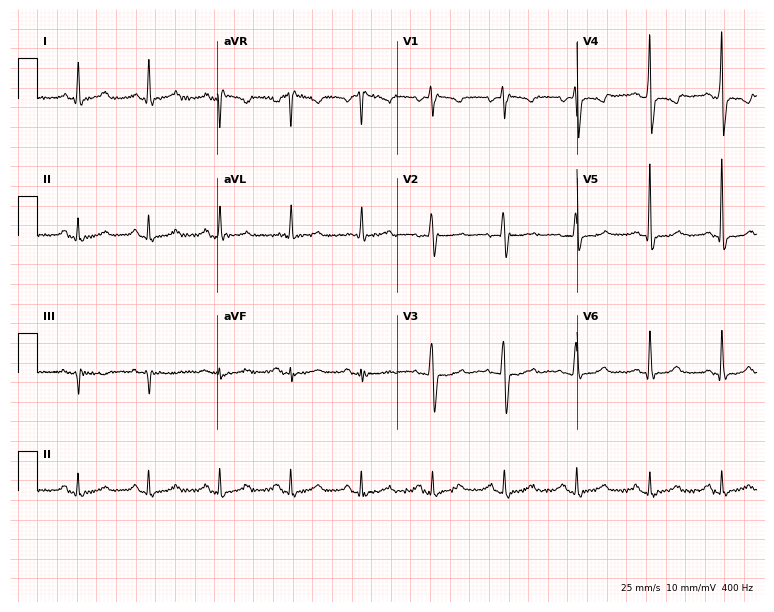
12-lead ECG from a female, 49 years old (7.3-second recording at 400 Hz). No first-degree AV block, right bundle branch block (RBBB), left bundle branch block (LBBB), sinus bradycardia, atrial fibrillation (AF) or sinus tachycardia recorded for this tracing. Only these six findings were labelled.